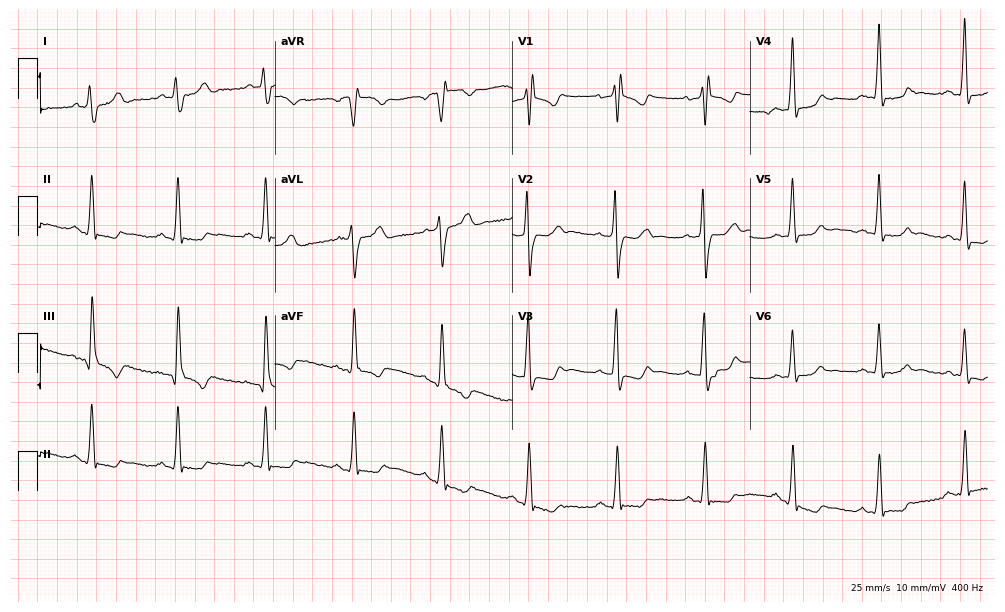
Electrocardiogram, a 66-year-old female. Of the six screened findings (first-degree AV block, right bundle branch block (RBBB), left bundle branch block (LBBB), sinus bradycardia, atrial fibrillation (AF), sinus tachycardia), none is recorded. Other findings, if any, are not listed.